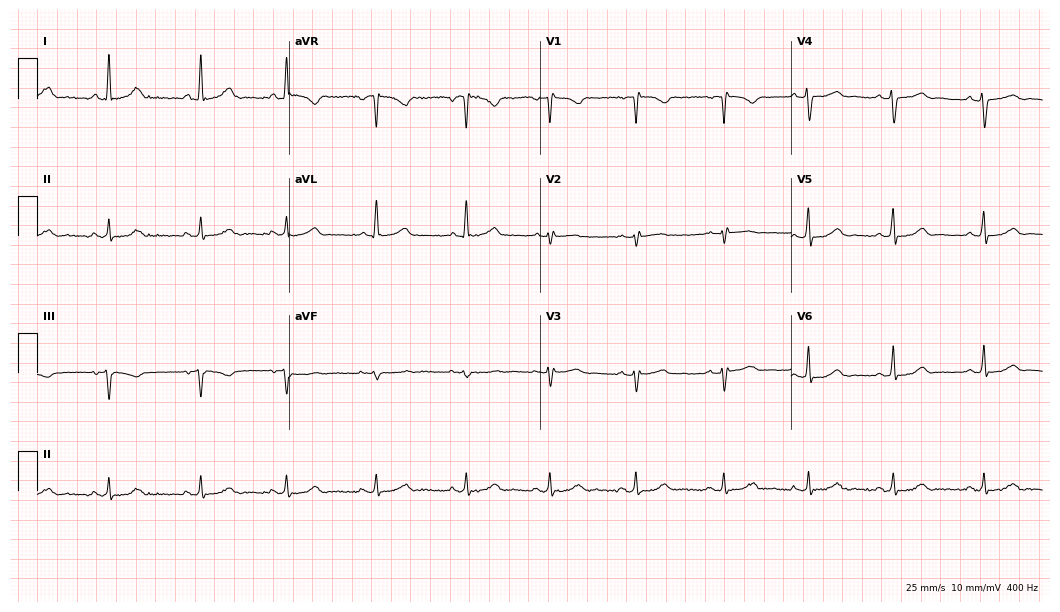
Resting 12-lead electrocardiogram (10.2-second recording at 400 Hz). Patient: a 38-year-old woman. None of these six findings is recorded: first-degree AV block, right bundle branch block, left bundle branch block, sinus bradycardia, atrial fibrillation, sinus tachycardia.